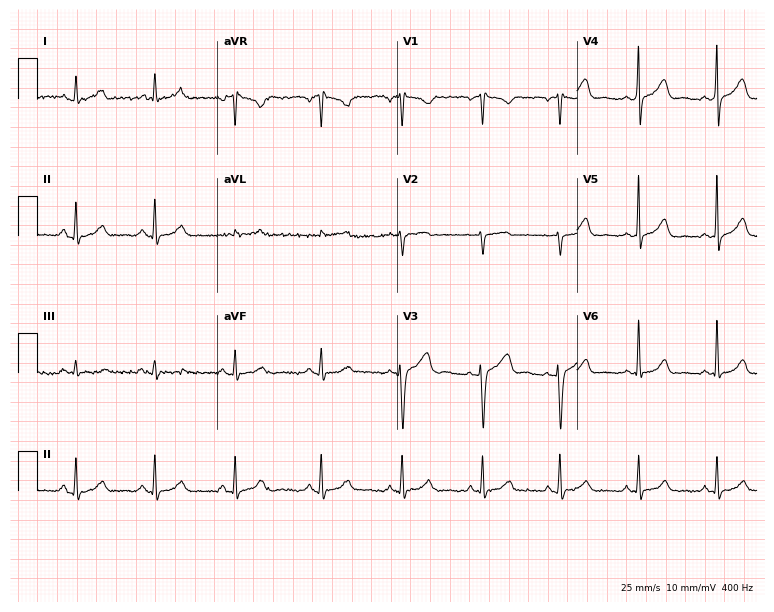
12-lead ECG from a woman, 33 years old (7.3-second recording at 400 Hz). No first-degree AV block, right bundle branch block, left bundle branch block, sinus bradycardia, atrial fibrillation or sinus tachycardia recorded for this tracing.